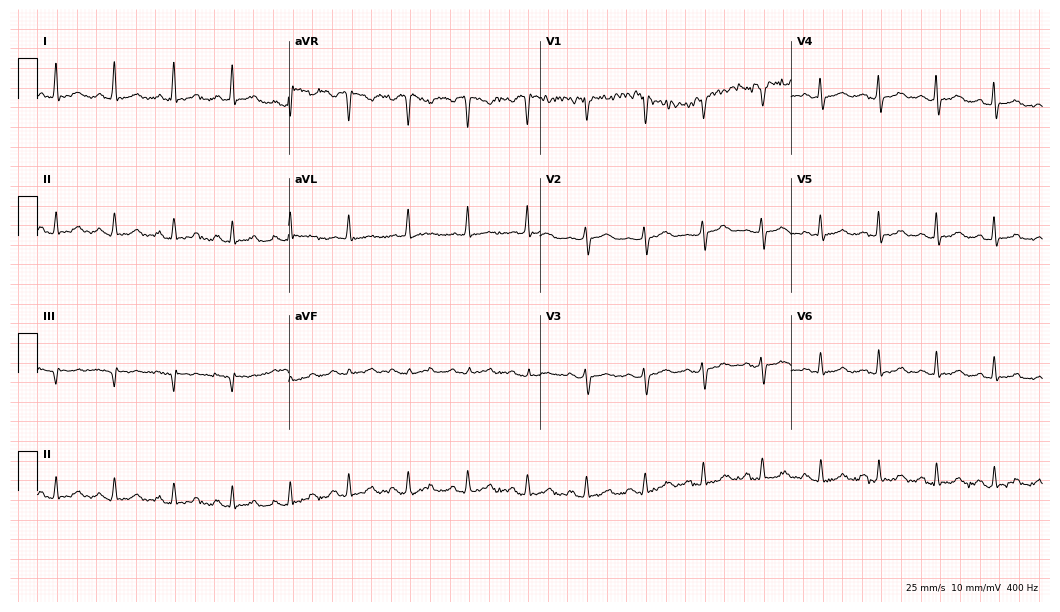
12-lead ECG (10.2-second recording at 400 Hz) from a woman, 41 years old. Screened for six findings — first-degree AV block, right bundle branch block, left bundle branch block, sinus bradycardia, atrial fibrillation, sinus tachycardia — none is recorded.